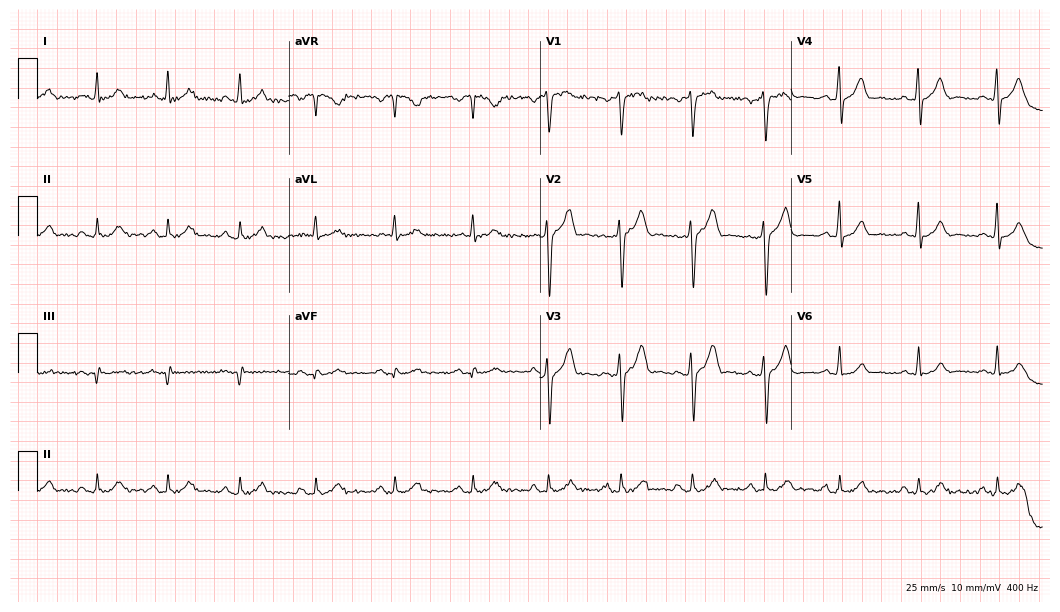
Resting 12-lead electrocardiogram (10.2-second recording at 400 Hz). Patient: a 46-year-old male. Read as a normal ECG.